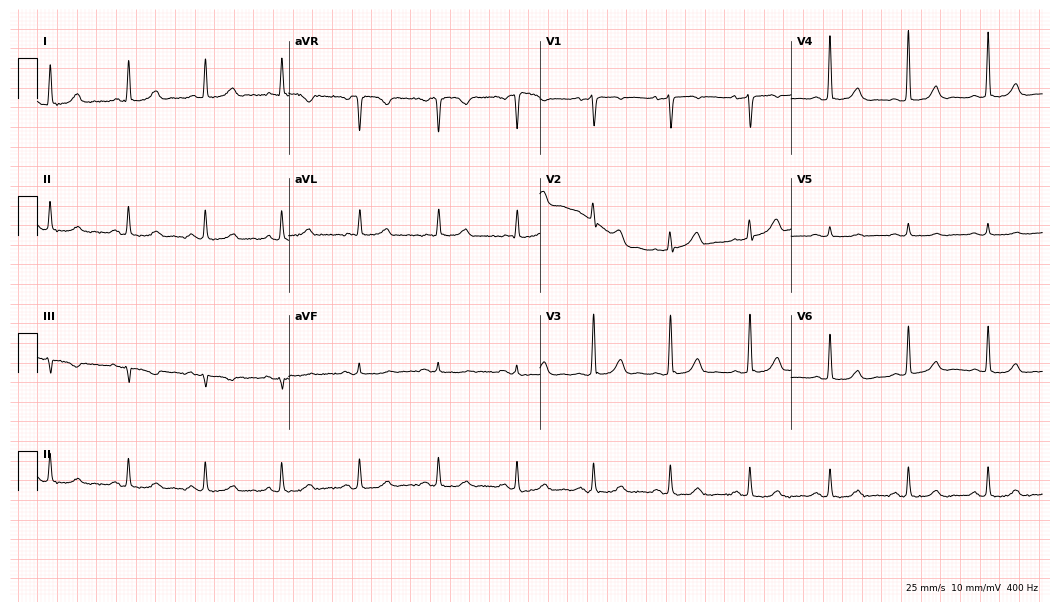
ECG (10.2-second recording at 400 Hz) — a female, 46 years old. Labelled as a normal ECG.